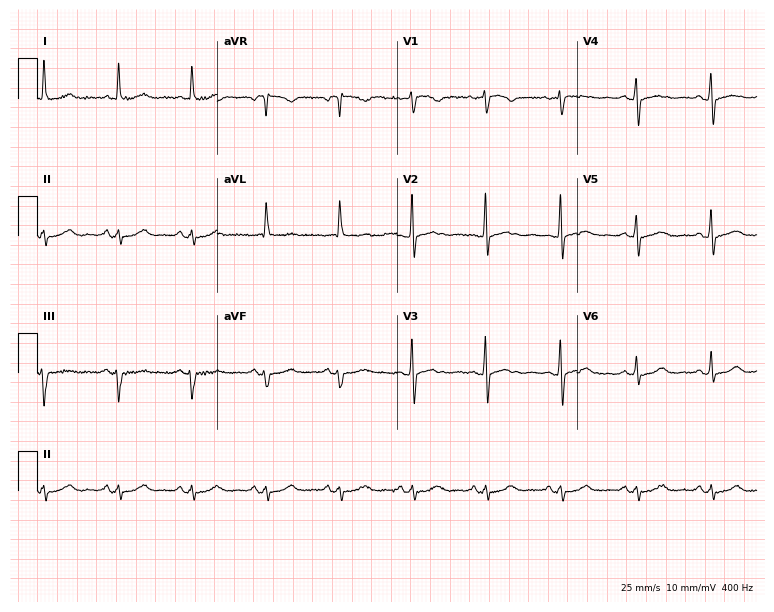
Electrocardiogram, a 48-year-old female. Of the six screened findings (first-degree AV block, right bundle branch block, left bundle branch block, sinus bradycardia, atrial fibrillation, sinus tachycardia), none is recorded. Findings outside these six are not listed.